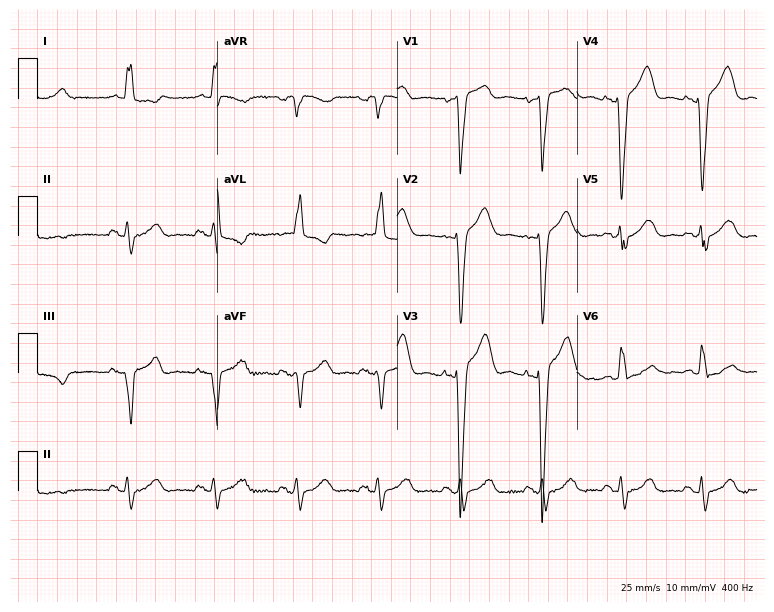
Electrocardiogram (7.3-second recording at 400 Hz), a 79-year-old female. Interpretation includes left bundle branch block.